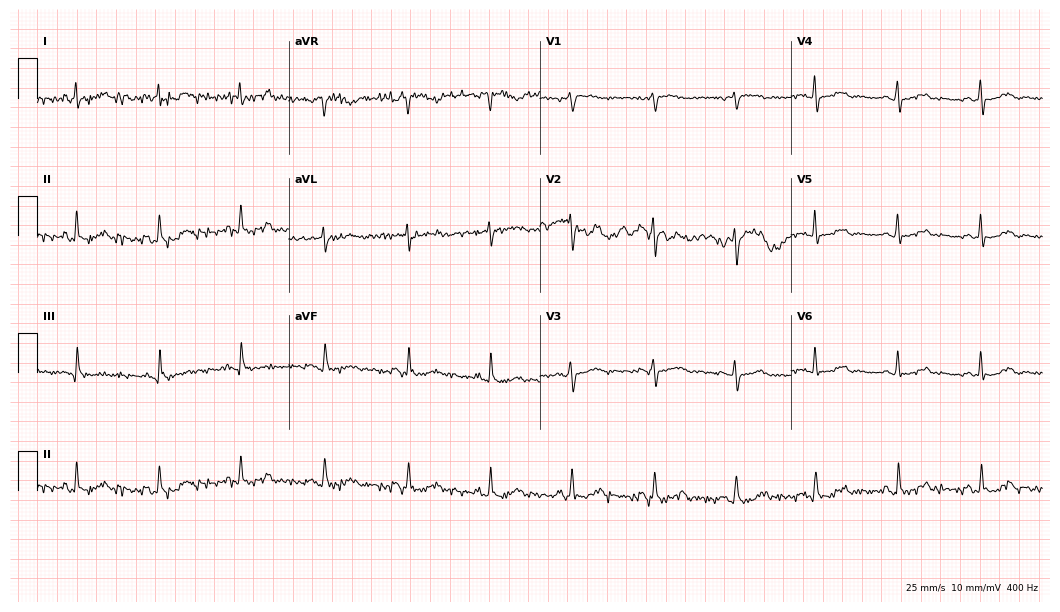
12-lead ECG from a 56-year-old female. Labelled as a normal ECG.